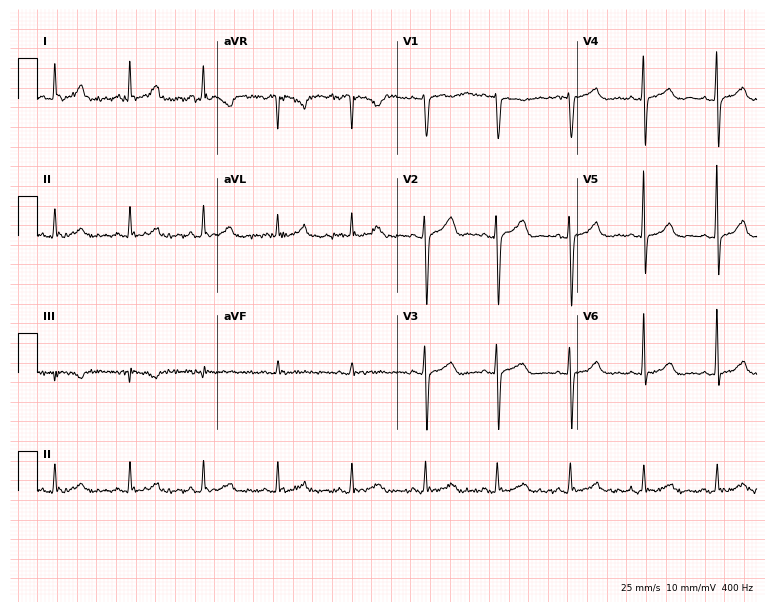
Electrocardiogram (7.3-second recording at 400 Hz), a 46-year-old woman. Overall reading on record: normal ECG.